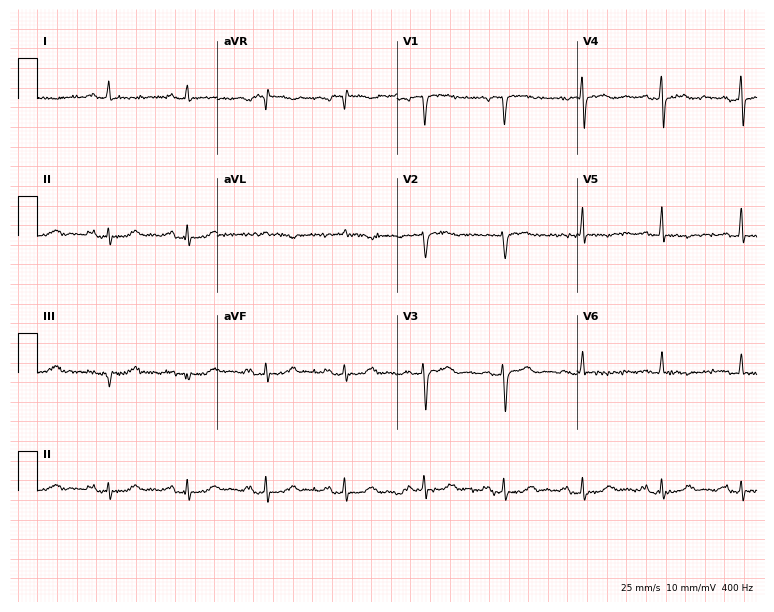
Standard 12-lead ECG recorded from a man, 81 years old. Read as a normal ECG.